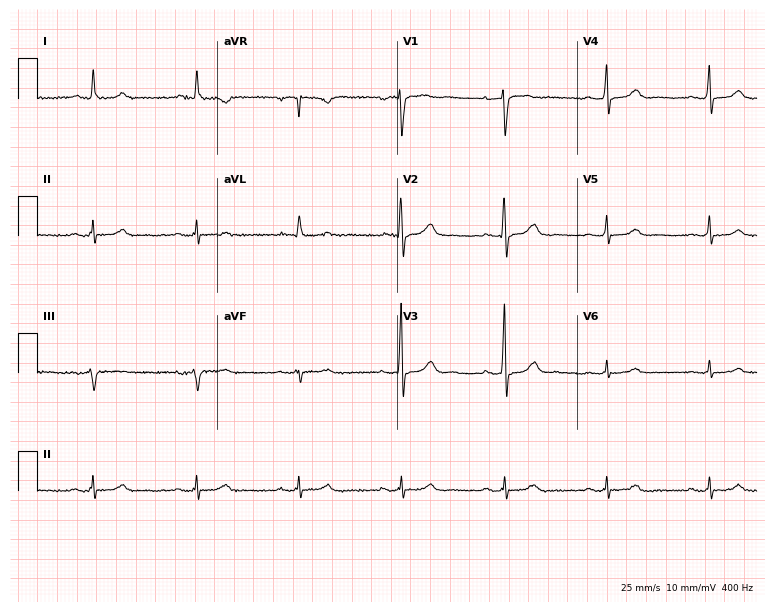
12-lead ECG from a woman, 70 years old (7.3-second recording at 400 Hz). Recorded interpretation: within normal limits.